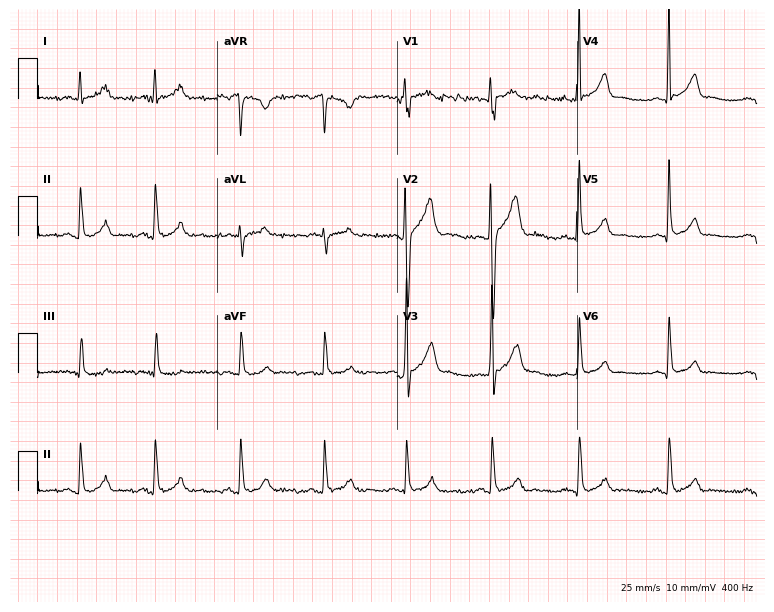
Standard 12-lead ECG recorded from a male, 37 years old. Read as a normal ECG.